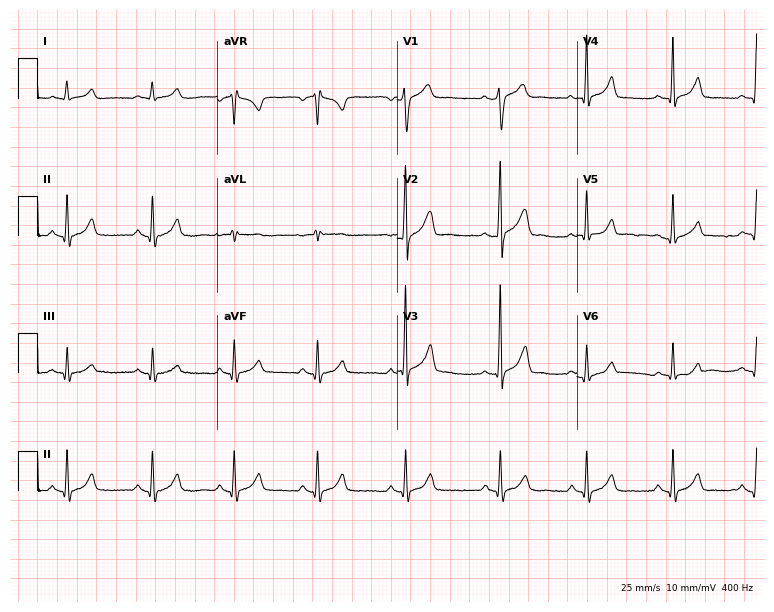
Resting 12-lead electrocardiogram (7.3-second recording at 400 Hz). Patient: a man, 42 years old. Read as a normal ECG.